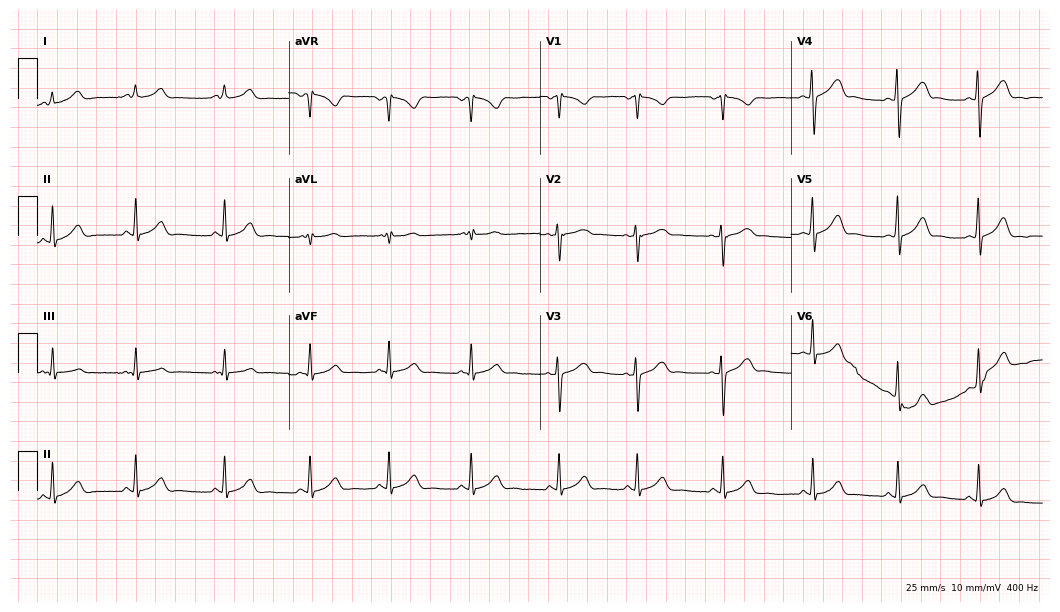
Standard 12-lead ECG recorded from a 19-year-old female (10.2-second recording at 400 Hz). Read as a normal ECG.